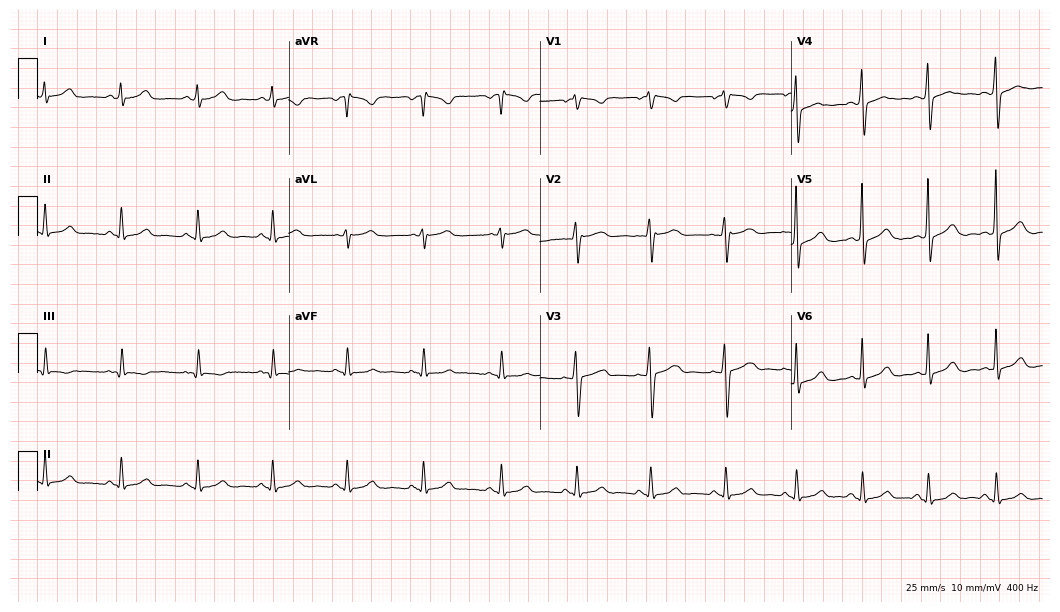
12-lead ECG (10.2-second recording at 400 Hz) from a 28-year-old female. Labelled as a normal ECG.